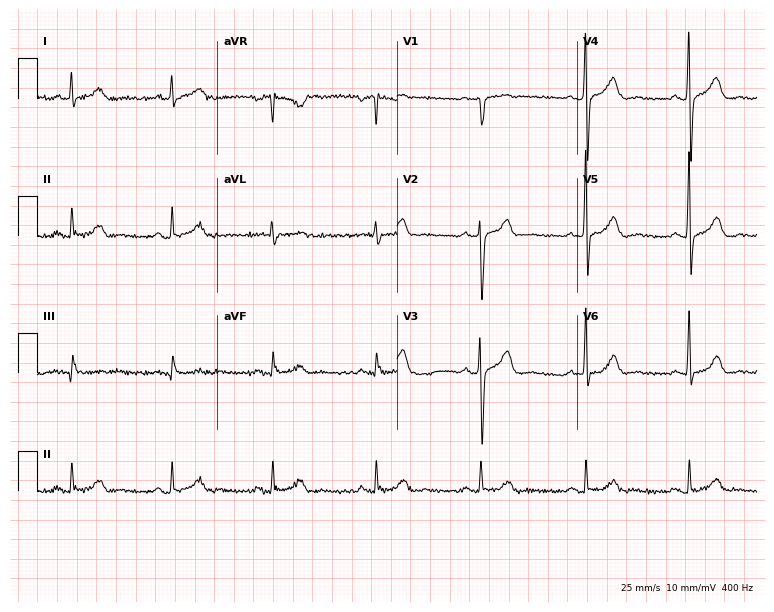
12-lead ECG (7.3-second recording at 400 Hz) from a 57-year-old male. Screened for six findings — first-degree AV block, right bundle branch block (RBBB), left bundle branch block (LBBB), sinus bradycardia, atrial fibrillation (AF), sinus tachycardia — none is recorded. Only these six findings were labelled.